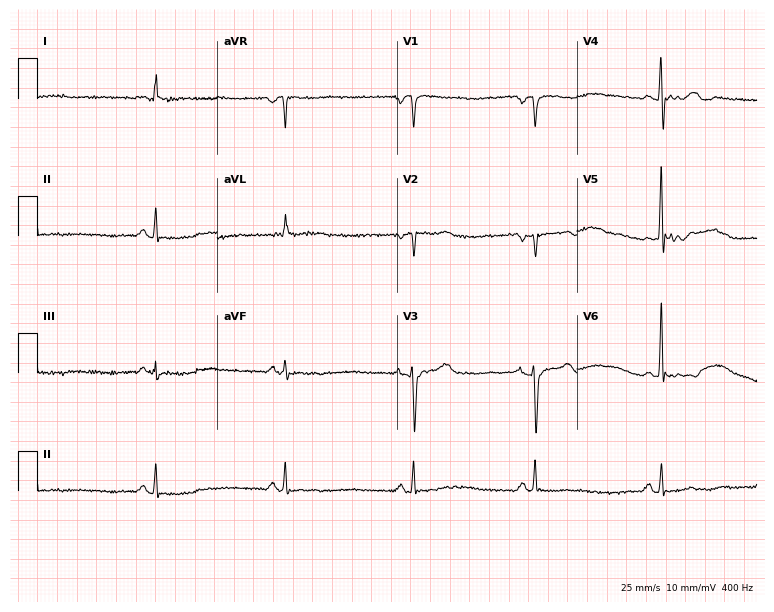
12-lead ECG from a 61-year-old female. Shows sinus bradycardia (a sinus rate of 50 beats per minute or less).